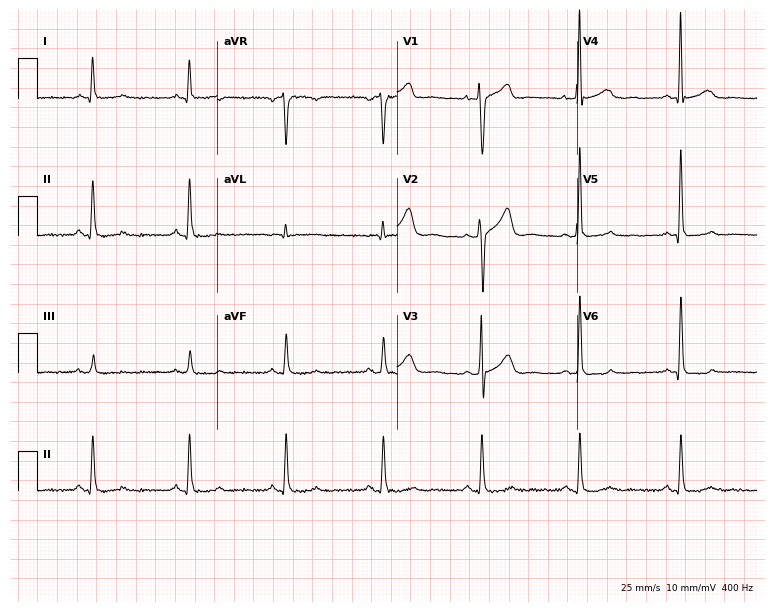
ECG (7.3-second recording at 400 Hz) — a male patient, 50 years old. Screened for six findings — first-degree AV block, right bundle branch block, left bundle branch block, sinus bradycardia, atrial fibrillation, sinus tachycardia — none is recorded.